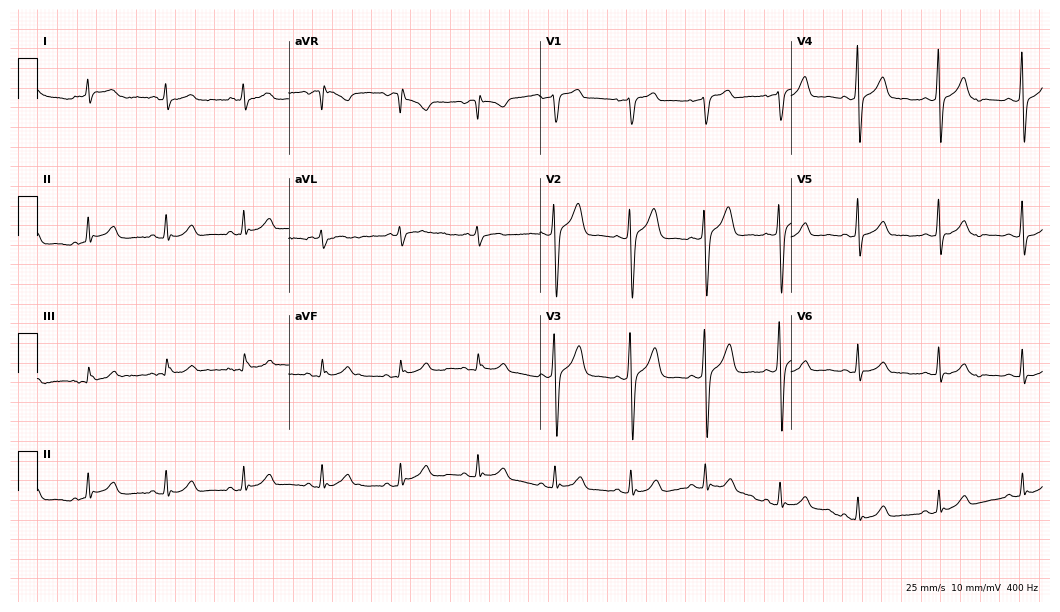
Electrocardiogram (10.2-second recording at 400 Hz), a male, 47 years old. Overall reading on record: normal ECG.